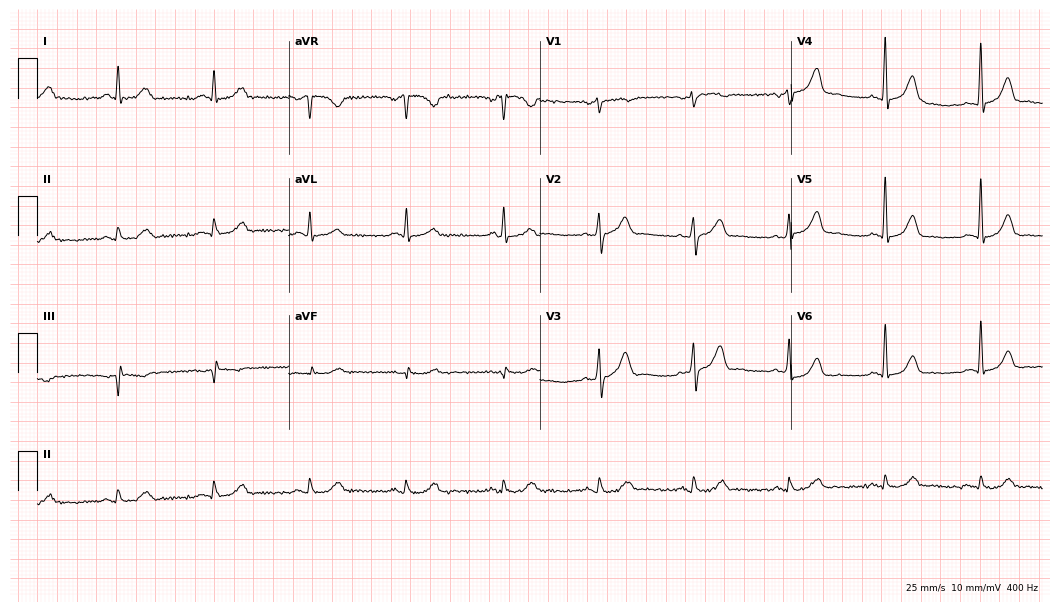
Resting 12-lead electrocardiogram (10.2-second recording at 400 Hz). Patient: a 61-year-old man. None of these six findings is recorded: first-degree AV block, right bundle branch block, left bundle branch block, sinus bradycardia, atrial fibrillation, sinus tachycardia. Only these six findings were labelled.